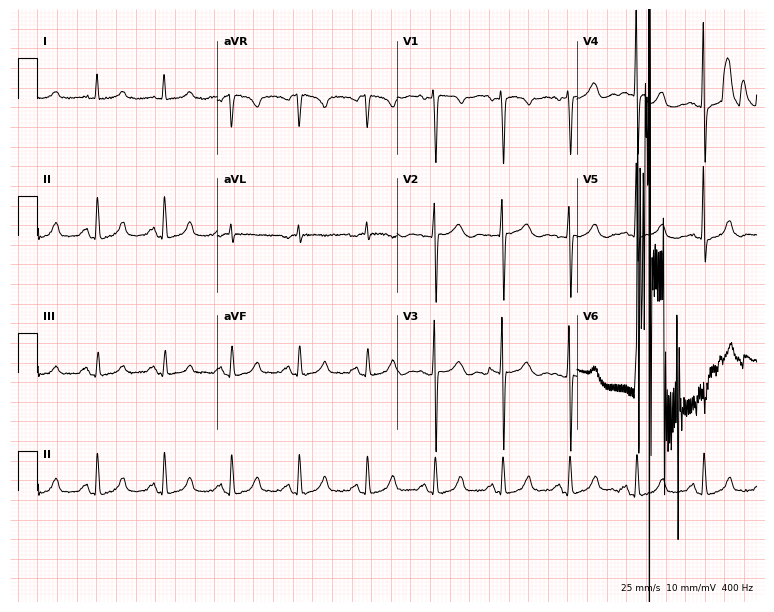
Standard 12-lead ECG recorded from a woman, 64 years old. None of these six findings is recorded: first-degree AV block, right bundle branch block, left bundle branch block, sinus bradycardia, atrial fibrillation, sinus tachycardia.